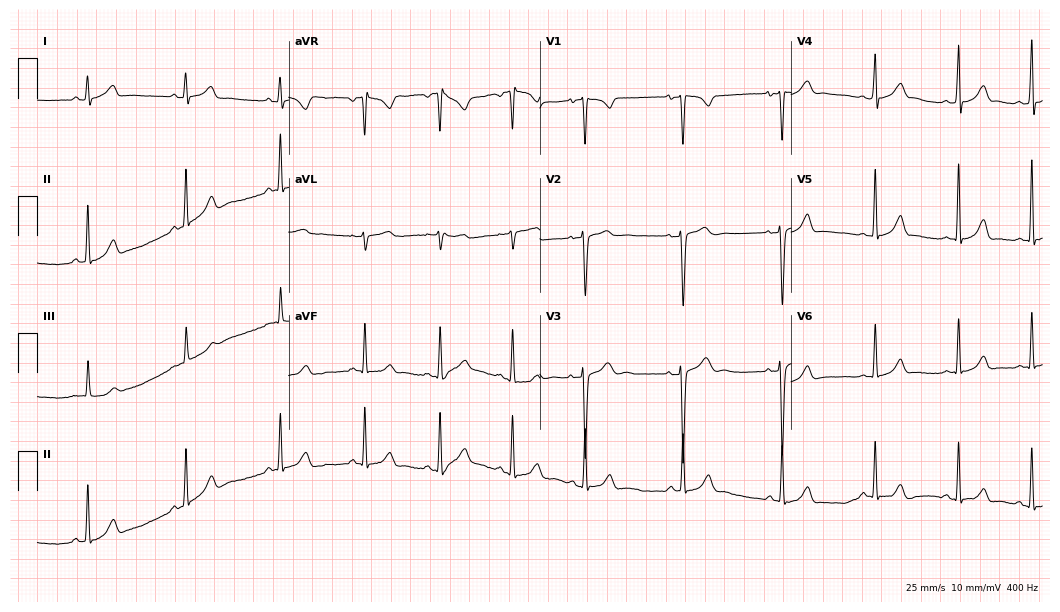
Standard 12-lead ECG recorded from an 18-year-old female patient. None of these six findings is recorded: first-degree AV block, right bundle branch block (RBBB), left bundle branch block (LBBB), sinus bradycardia, atrial fibrillation (AF), sinus tachycardia.